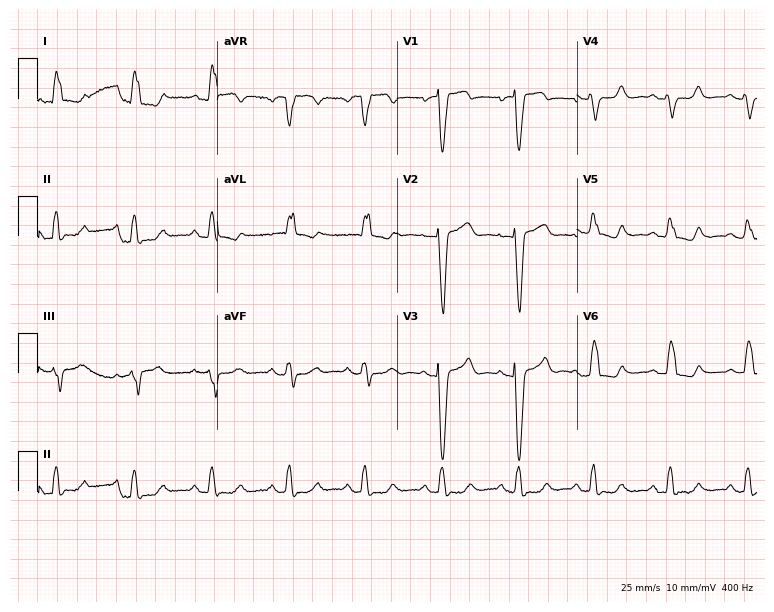
Standard 12-lead ECG recorded from a female, 81 years old (7.3-second recording at 400 Hz). The tracing shows left bundle branch block (LBBB).